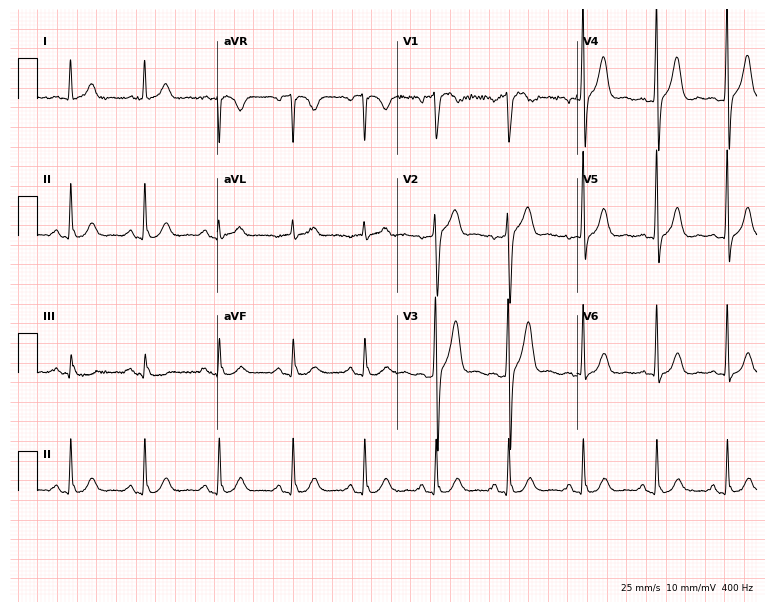
Resting 12-lead electrocardiogram. Patient: a 42-year-old male. Read as a normal ECG.